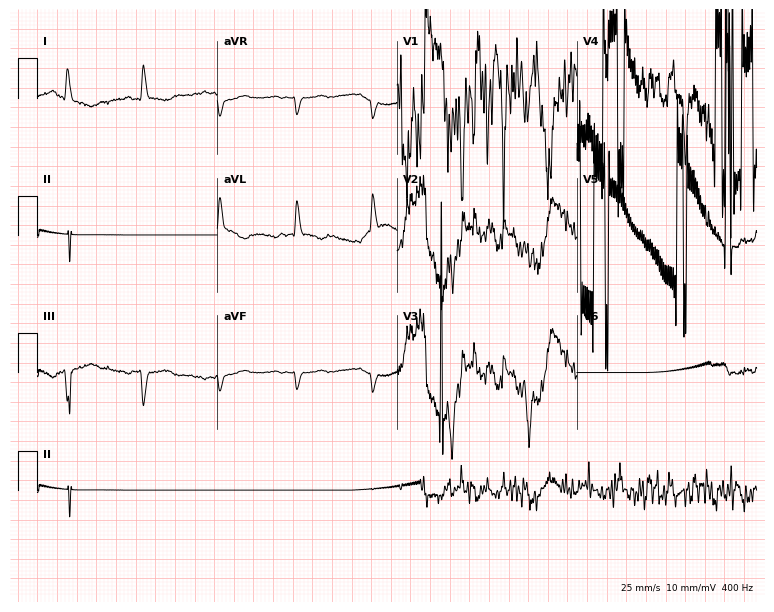
ECG — an 83-year-old male. Screened for six findings — first-degree AV block, right bundle branch block, left bundle branch block, sinus bradycardia, atrial fibrillation, sinus tachycardia — none is recorded. Only these six findings were labelled.